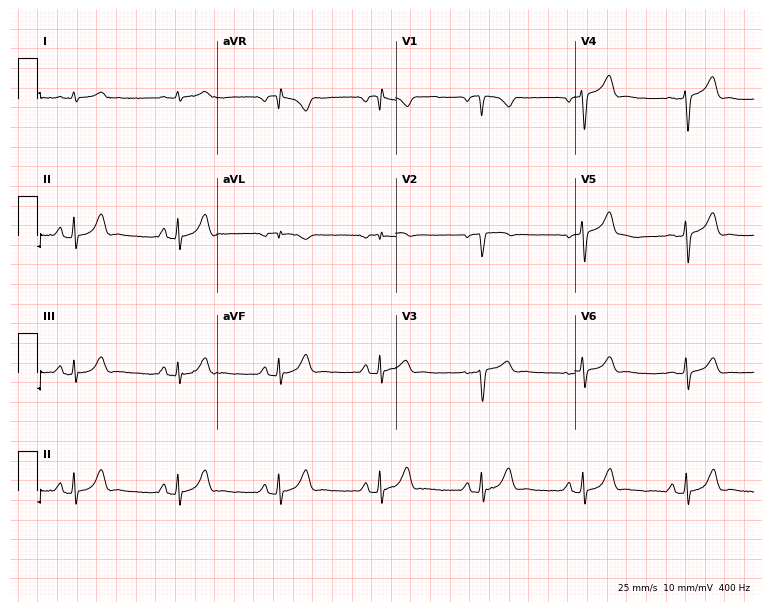
Resting 12-lead electrocardiogram (7.3-second recording at 400 Hz). Patient: an 84-year-old man. None of these six findings is recorded: first-degree AV block, right bundle branch block, left bundle branch block, sinus bradycardia, atrial fibrillation, sinus tachycardia.